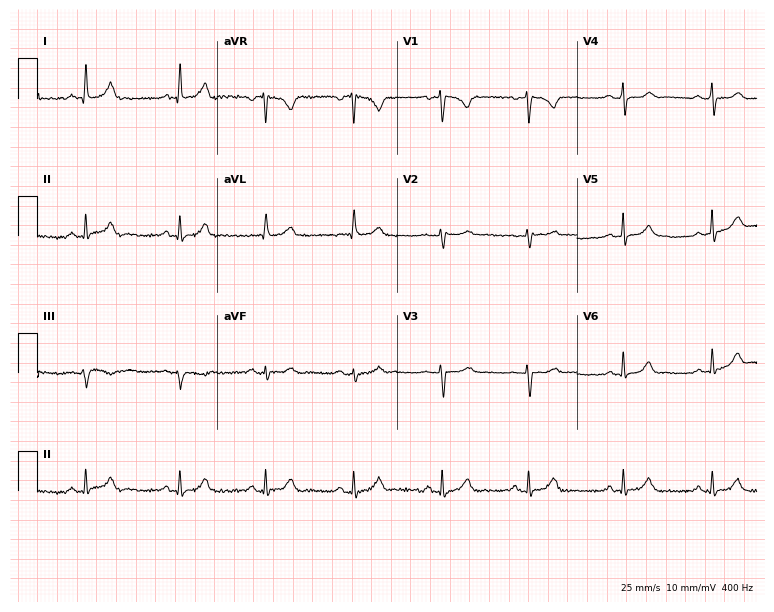
12-lead ECG (7.3-second recording at 400 Hz) from a female, 45 years old. Labelled as a normal ECG.